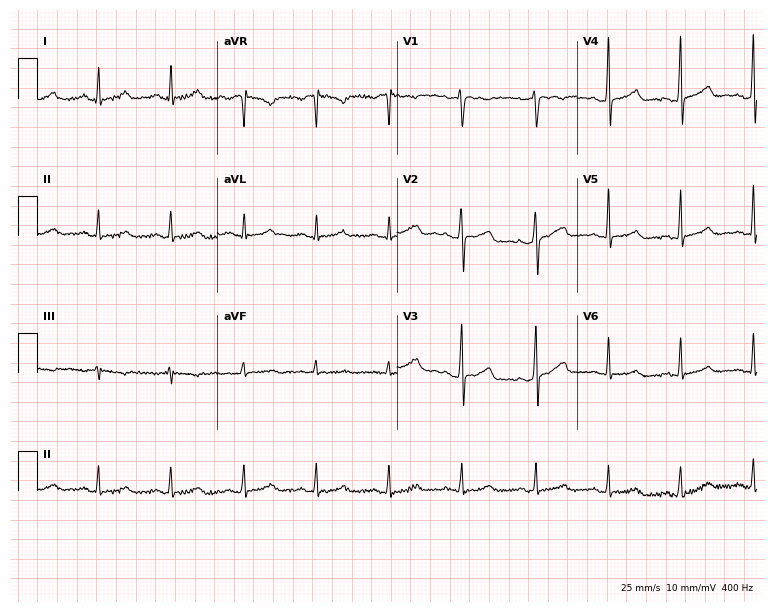
ECG (7.3-second recording at 400 Hz) — a 39-year-old female patient. Screened for six findings — first-degree AV block, right bundle branch block (RBBB), left bundle branch block (LBBB), sinus bradycardia, atrial fibrillation (AF), sinus tachycardia — none is recorded. Other findings, if any, are not listed.